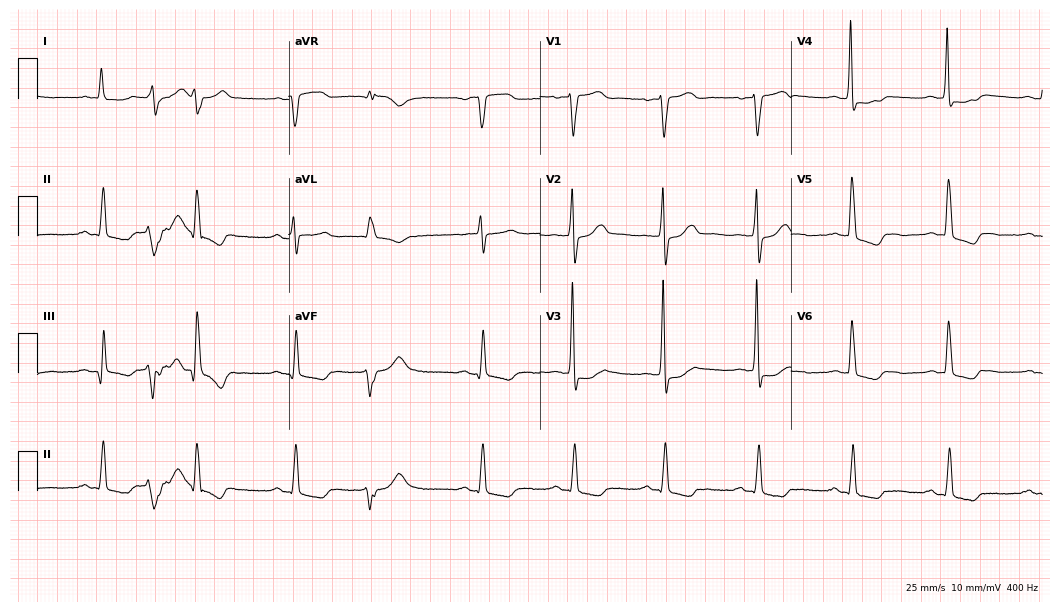
12-lead ECG from a 73-year-old female (10.2-second recording at 400 Hz). Recorded interpretation: within normal limits.